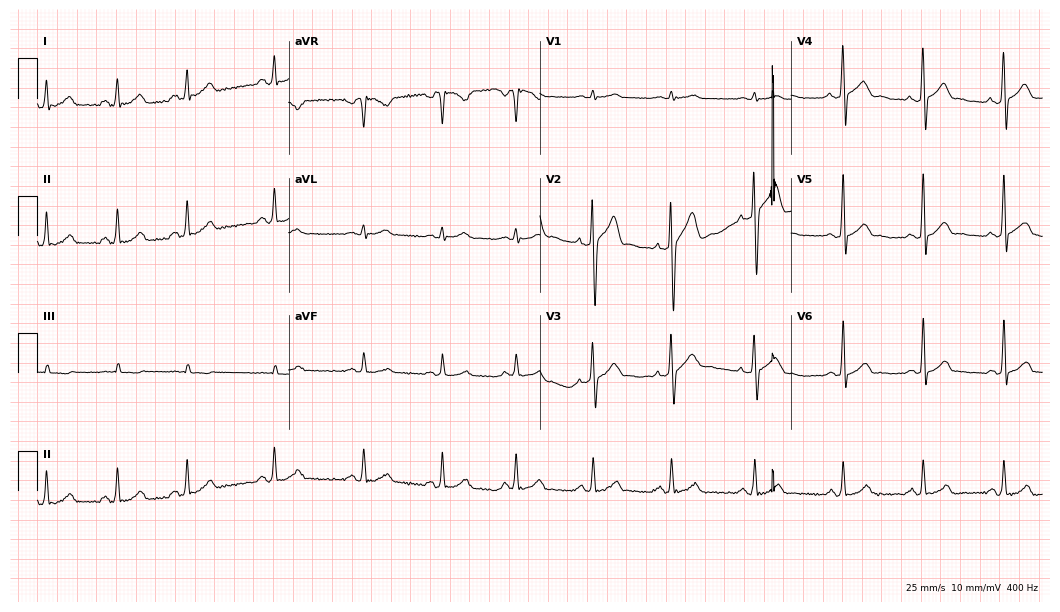
Electrocardiogram, a 29-year-old male patient. Overall reading on record: normal ECG.